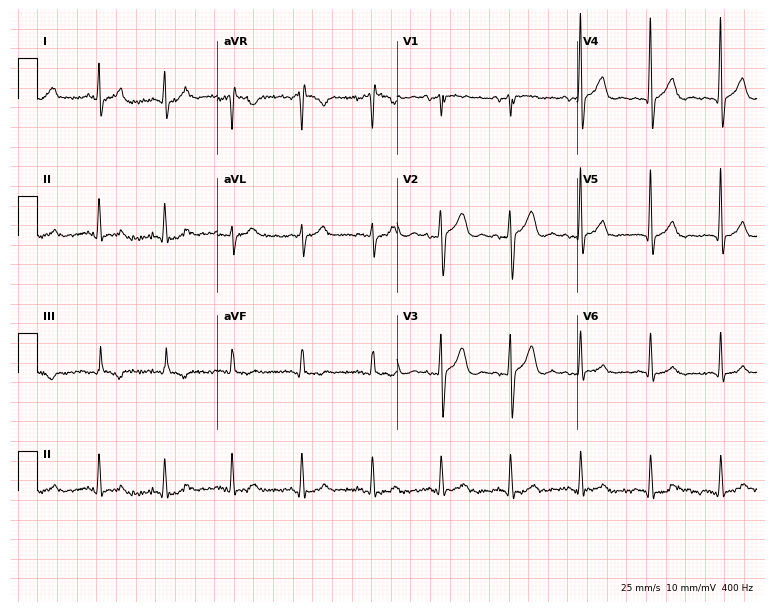
Standard 12-lead ECG recorded from a male patient, 40 years old. Read as a normal ECG.